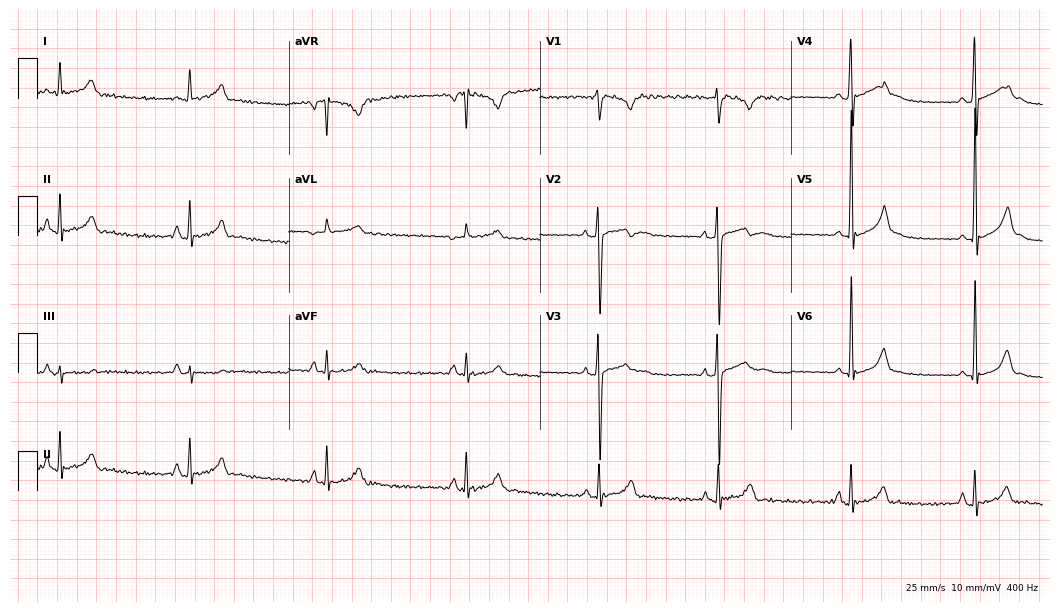
12-lead ECG (10.2-second recording at 400 Hz) from an 18-year-old male. Screened for six findings — first-degree AV block, right bundle branch block, left bundle branch block, sinus bradycardia, atrial fibrillation, sinus tachycardia — none is recorded.